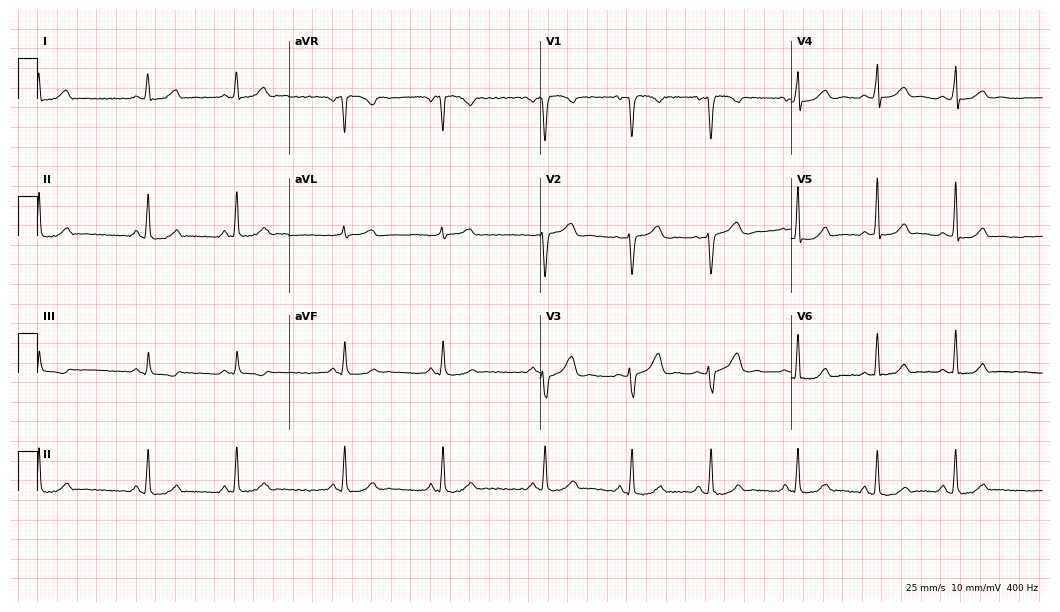
Resting 12-lead electrocardiogram. Patient: a woman, 19 years old. Read as a normal ECG.